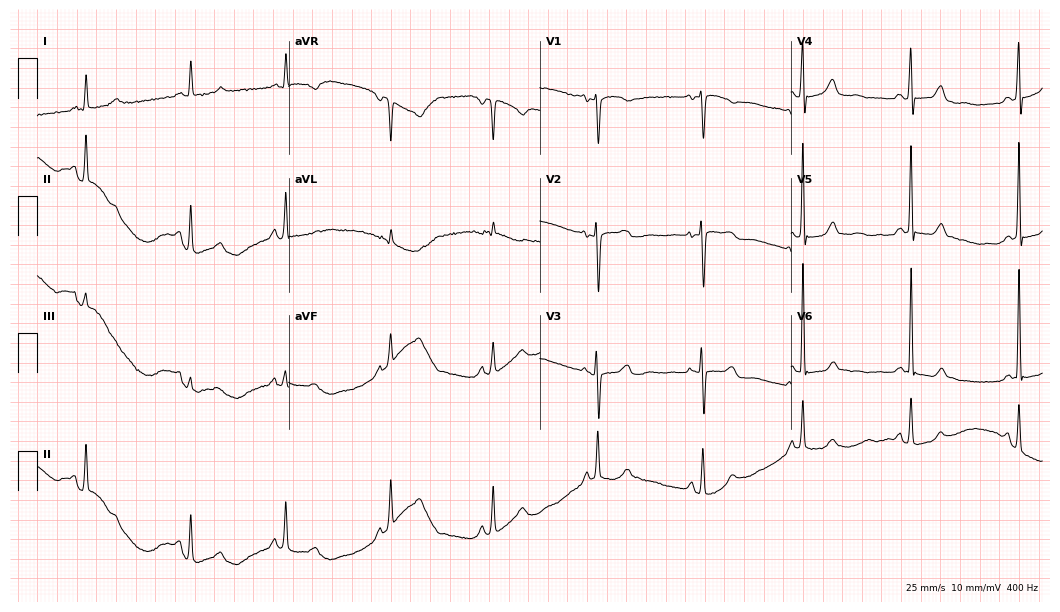
Standard 12-lead ECG recorded from a female, 50 years old. None of these six findings is recorded: first-degree AV block, right bundle branch block, left bundle branch block, sinus bradycardia, atrial fibrillation, sinus tachycardia.